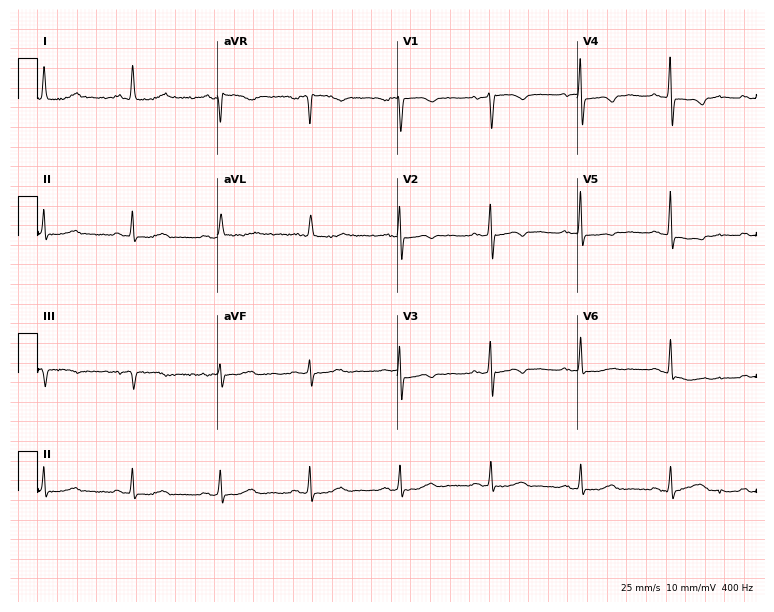
12-lead ECG from a 61-year-old female (7.3-second recording at 400 Hz). No first-degree AV block, right bundle branch block (RBBB), left bundle branch block (LBBB), sinus bradycardia, atrial fibrillation (AF) or sinus tachycardia recorded for this tracing. Other findings, if any, are not listed.